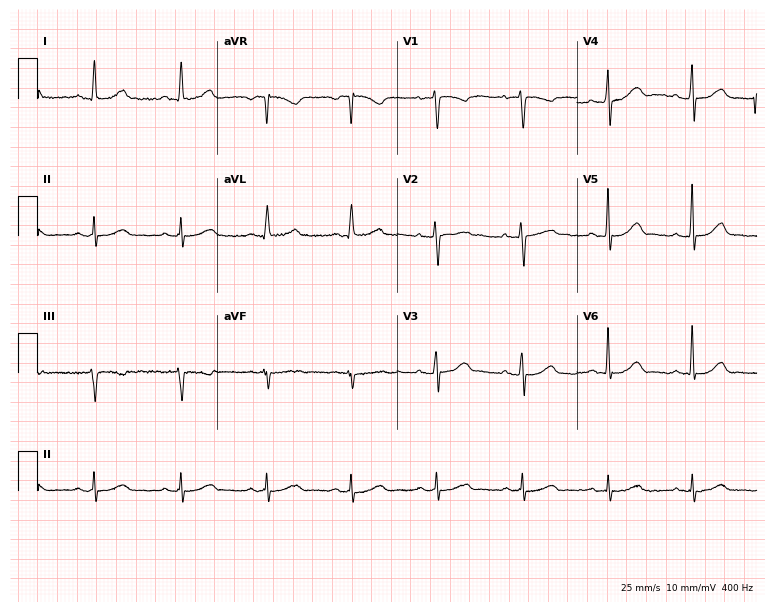
Standard 12-lead ECG recorded from a 66-year-old female patient. None of these six findings is recorded: first-degree AV block, right bundle branch block, left bundle branch block, sinus bradycardia, atrial fibrillation, sinus tachycardia. Findings outside these six are not listed.